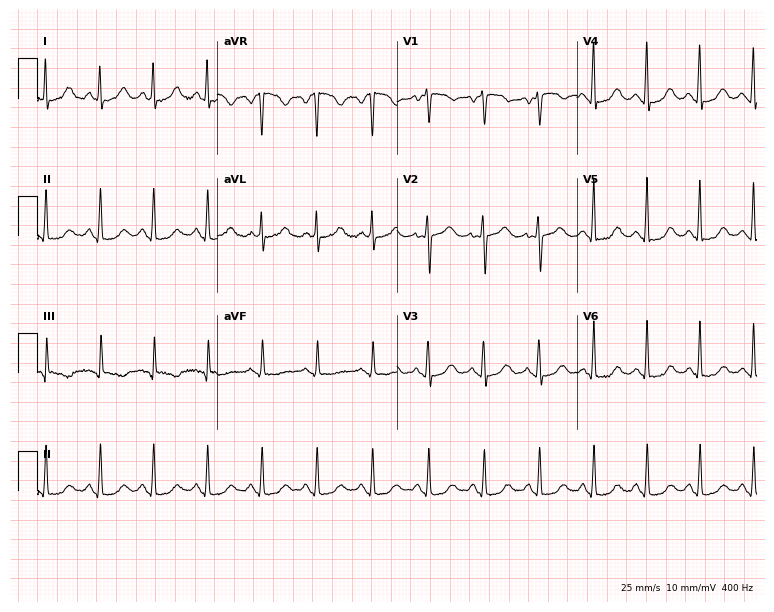
Electrocardiogram (7.3-second recording at 400 Hz), a 52-year-old female. Interpretation includes sinus tachycardia (a sinus rate of 100 beats per minute or more).